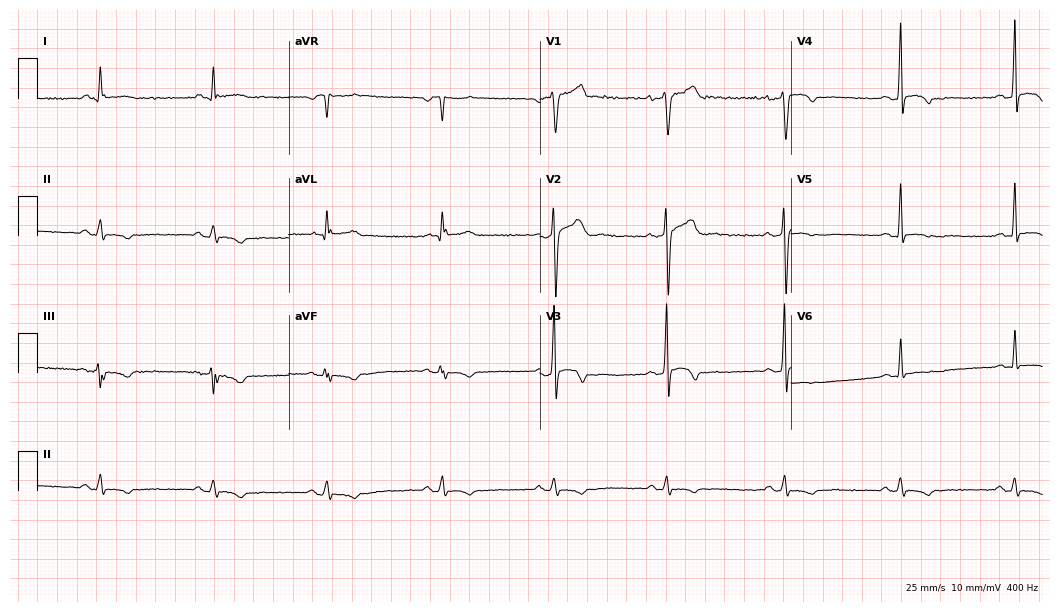
ECG (10.2-second recording at 400 Hz) — a 47-year-old male. Screened for six findings — first-degree AV block, right bundle branch block, left bundle branch block, sinus bradycardia, atrial fibrillation, sinus tachycardia — none is recorded.